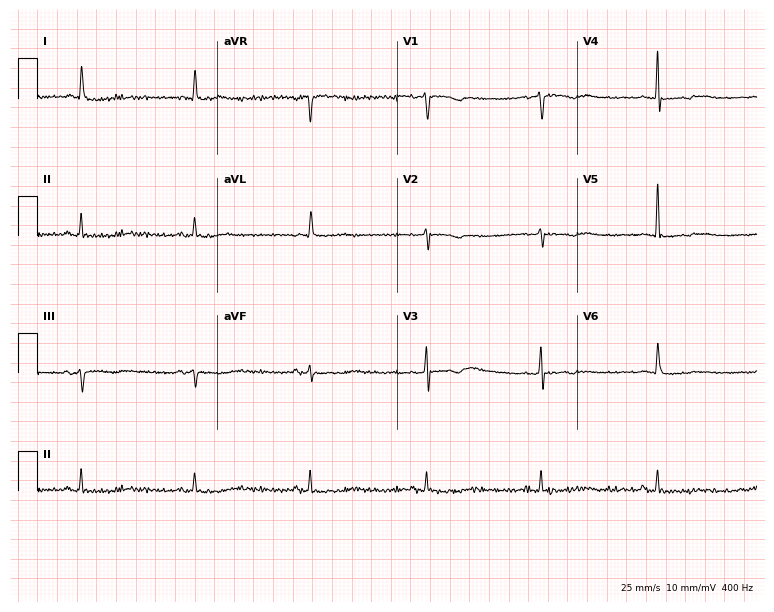
Standard 12-lead ECG recorded from a 77-year-old female. None of these six findings is recorded: first-degree AV block, right bundle branch block (RBBB), left bundle branch block (LBBB), sinus bradycardia, atrial fibrillation (AF), sinus tachycardia.